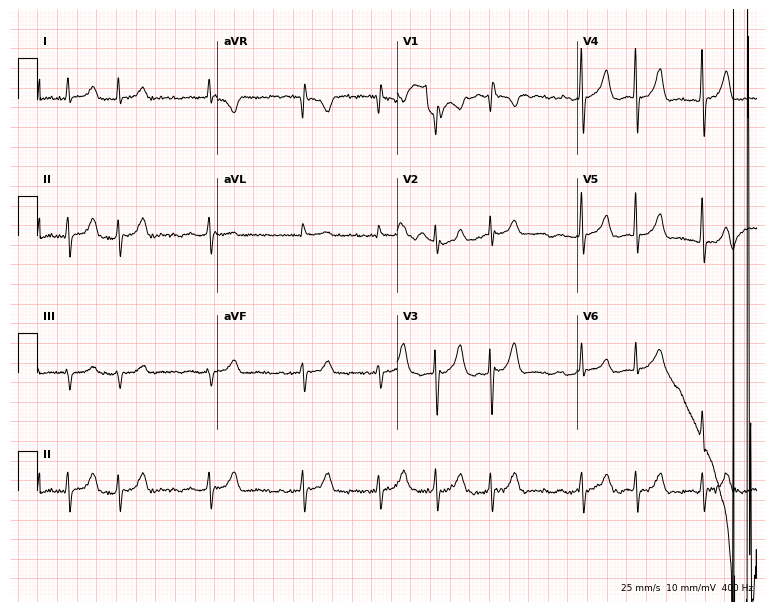
Electrocardiogram, a male, 74 years old. Interpretation includes atrial fibrillation.